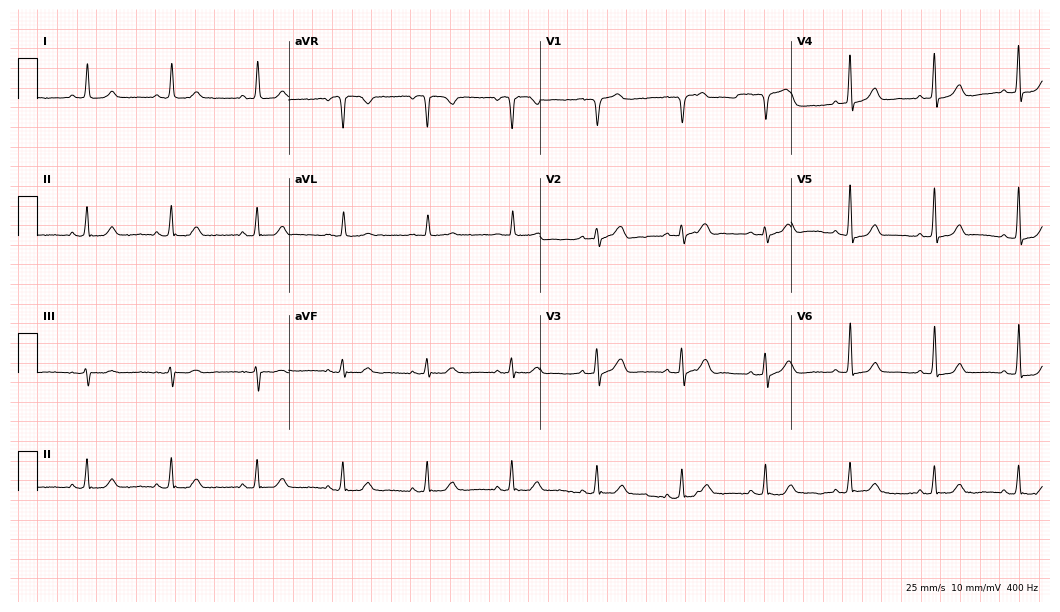
Electrocardiogram, a 71-year-old male patient. Overall reading on record: normal ECG.